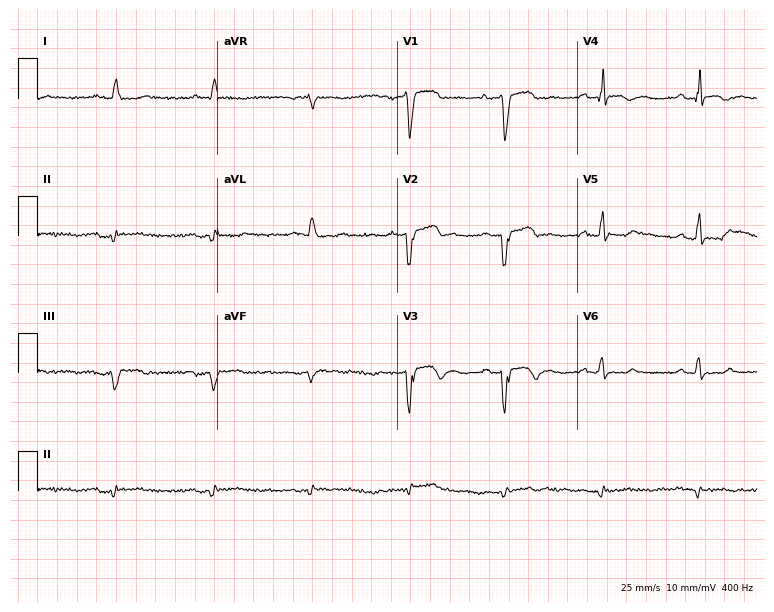
12-lead ECG from a male, 82 years old. Screened for six findings — first-degree AV block, right bundle branch block, left bundle branch block, sinus bradycardia, atrial fibrillation, sinus tachycardia — none is recorded.